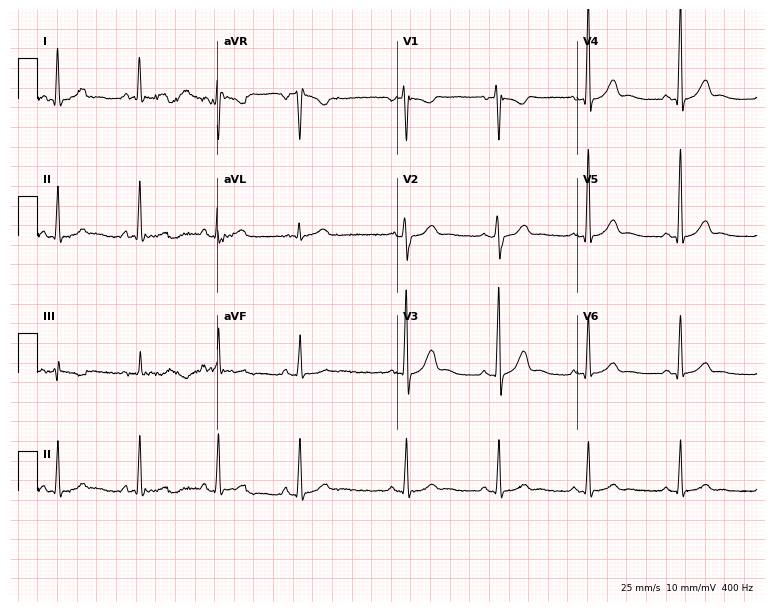
Resting 12-lead electrocardiogram (7.3-second recording at 400 Hz). Patient: a 30-year-old man. None of these six findings is recorded: first-degree AV block, right bundle branch block (RBBB), left bundle branch block (LBBB), sinus bradycardia, atrial fibrillation (AF), sinus tachycardia.